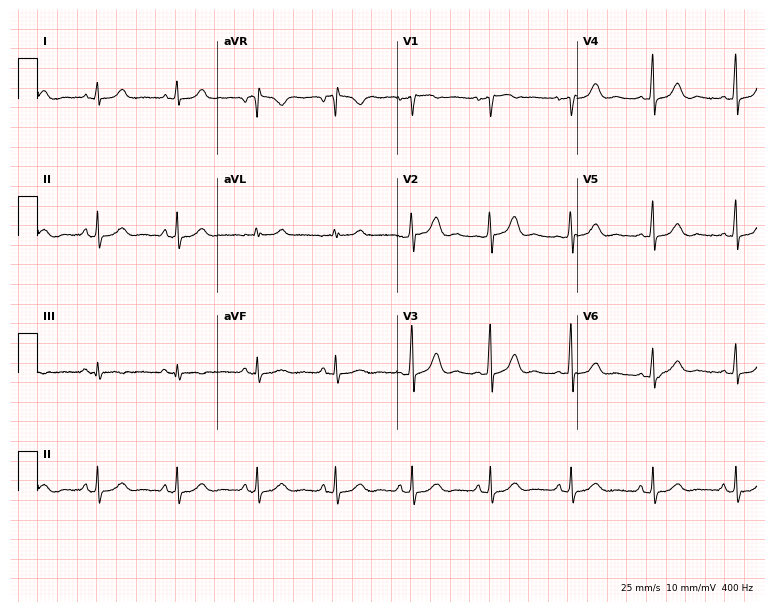
ECG — a female, 52 years old. Labelled as a normal ECG.